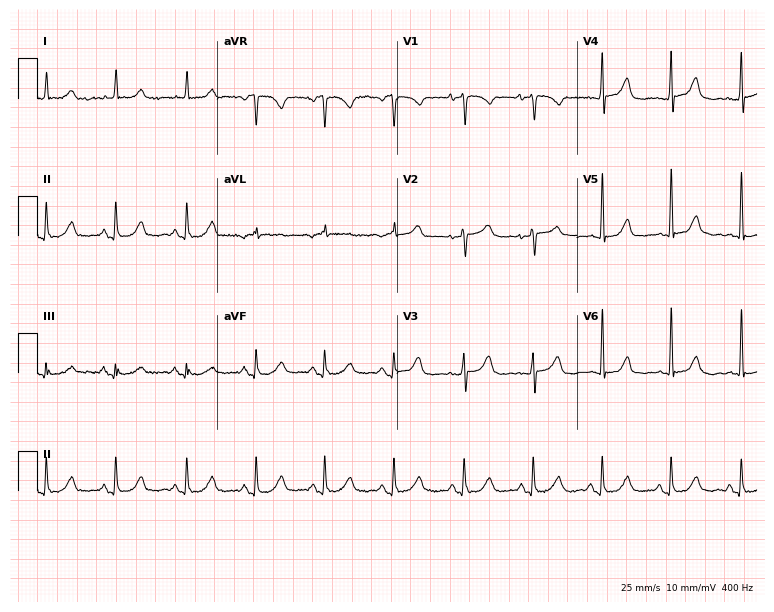
Standard 12-lead ECG recorded from a 79-year-old female patient (7.3-second recording at 400 Hz). None of these six findings is recorded: first-degree AV block, right bundle branch block, left bundle branch block, sinus bradycardia, atrial fibrillation, sinus tachycardia.